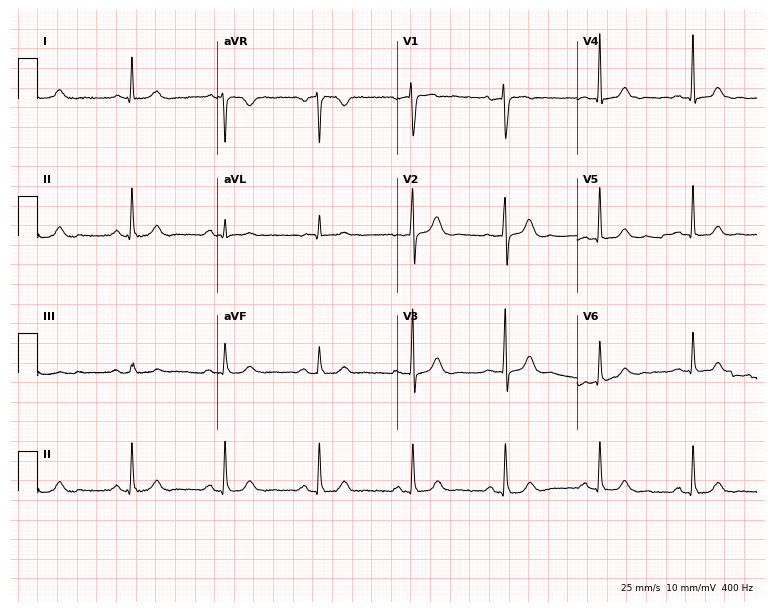
Standard 12-lead ECG recorded from a 50-year-old woman. None of these six findings is recorded: first-degree AV block, right bundle branch block, left bundle branch block, sinus bradycardia, atrial fibrillation, sinus tachycardia. Only these six findings were labelled.